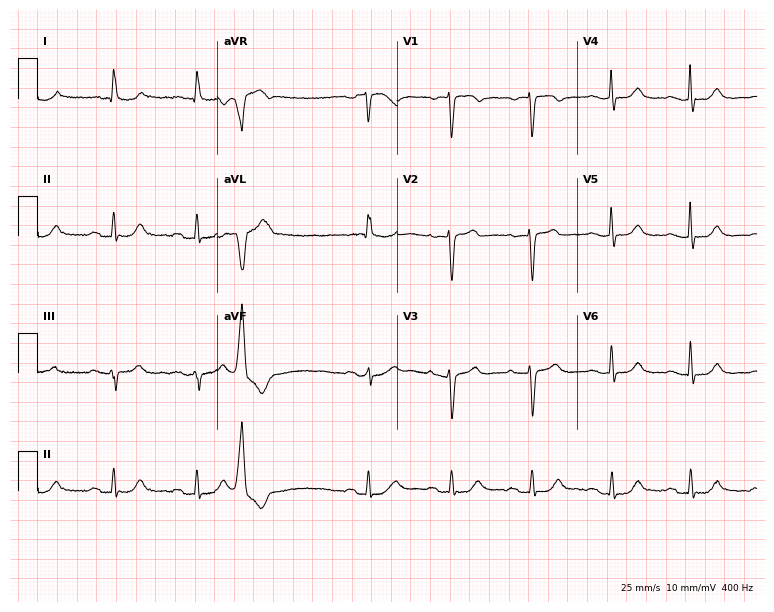
Electrocardiogram (7.3-second recording at 400 Hz), a 76-year-old female. Of the six screened findings (first-degree AV block, right bundle branch block, left bundle branch block, sinus bradycardia, atrial fibrillation, sinus tachycardia), none is recorded. Only these six findings were labelled.